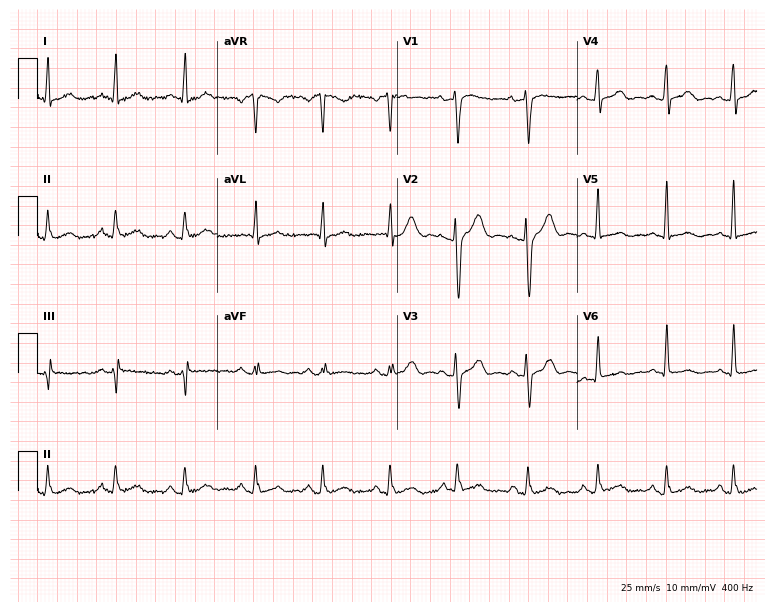
12-lead ECG from a 45-year-old man (7.3-second recording at 400 Hz). Recorded interpretation: within normal limits.